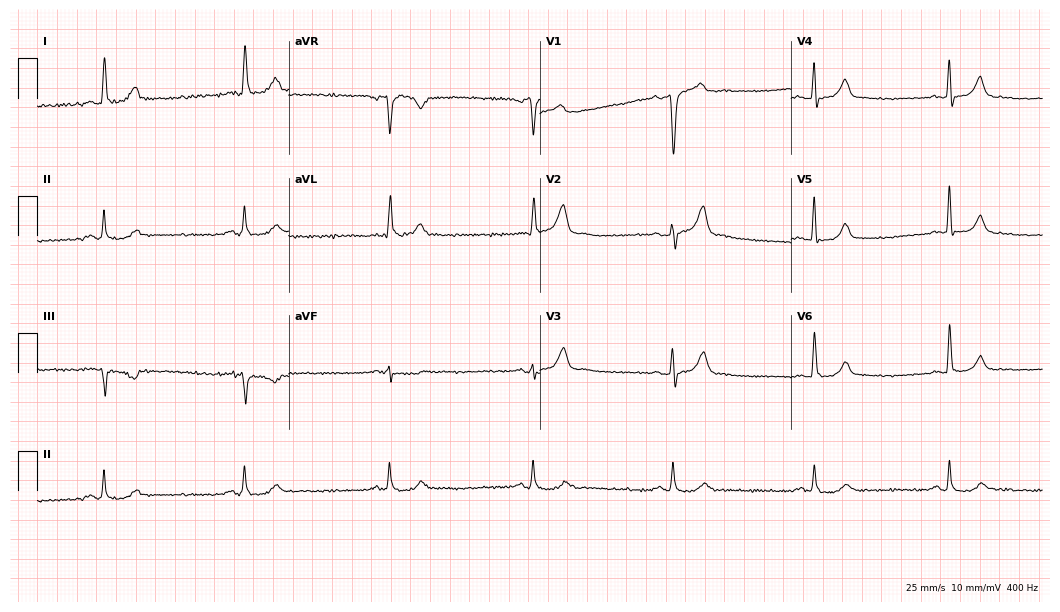
Resting 12-lead electrocardiogram (10.2-second recording at 400 Hz). Patient: a 58-year-old man. The tracing shows sinus bradycardia (a sinus rate of 50 beats per minute or less).